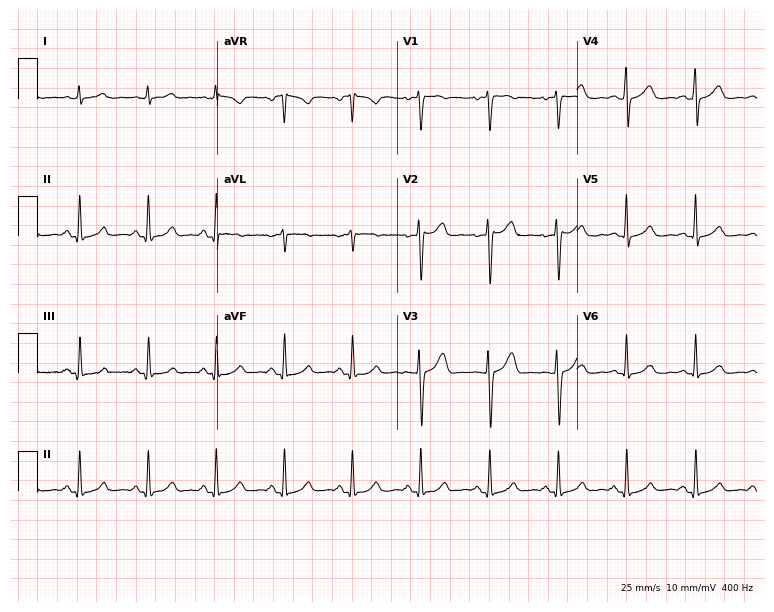
ECG (7.3-second recording at 400 Hz) — a 41-year-old female patient. Labelled as a normal ECG.